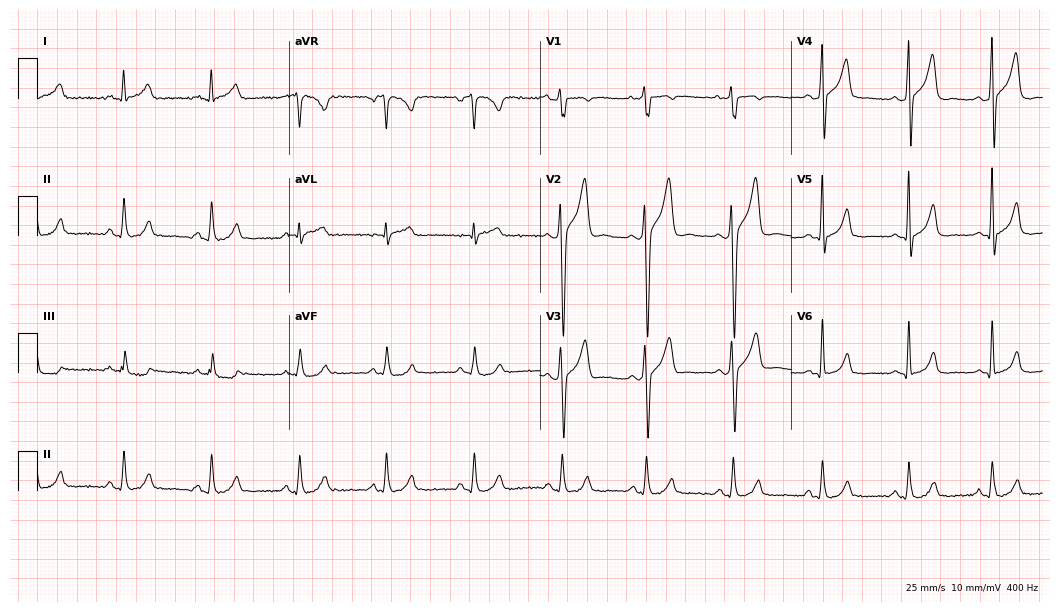
Electrocardiogram (10.2-second recording at 400 Hz), a male patient, 32 years old. Overall reading on record: normal ECG.